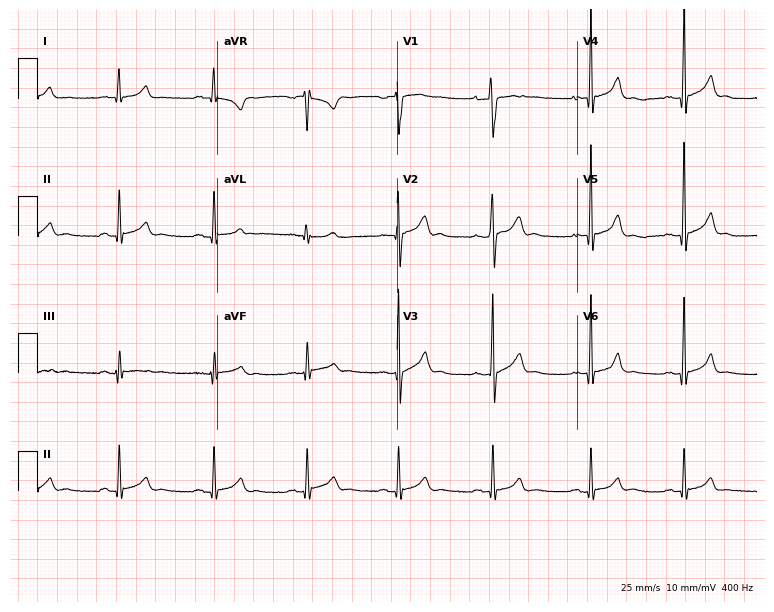
Standard 12-lead ECG recorded from a 26-year-old man. None of these six findings is recorded: first-degree AV block, right bundle branch block, left bundle branch block, sinus bradycardia, atrial fibrillation, sinus tachycardia.